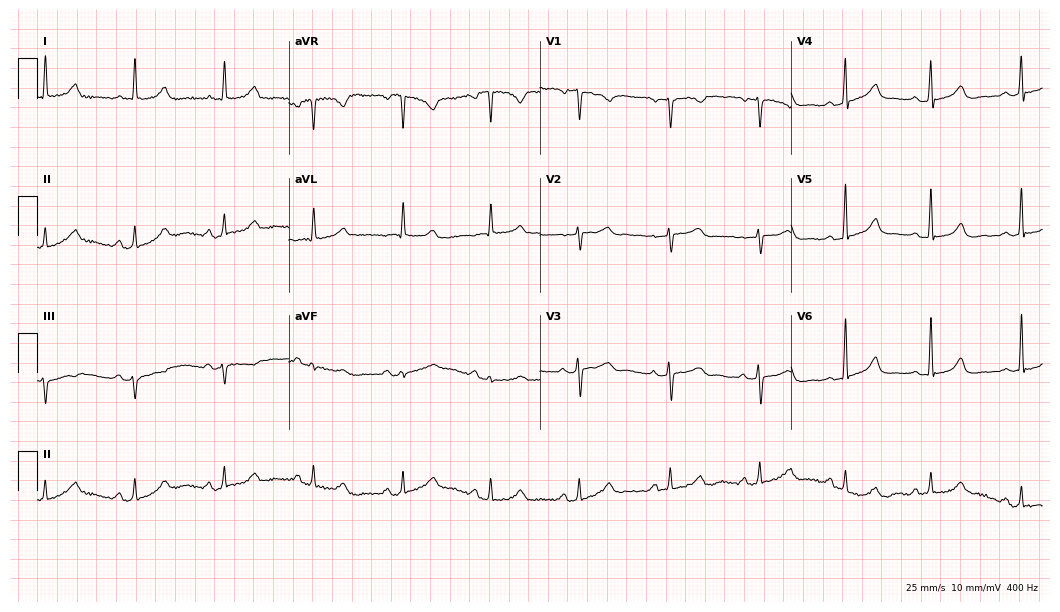
Standard 12-lead ECG recorded from a 64-year-old woman. Read as a normal ECG.